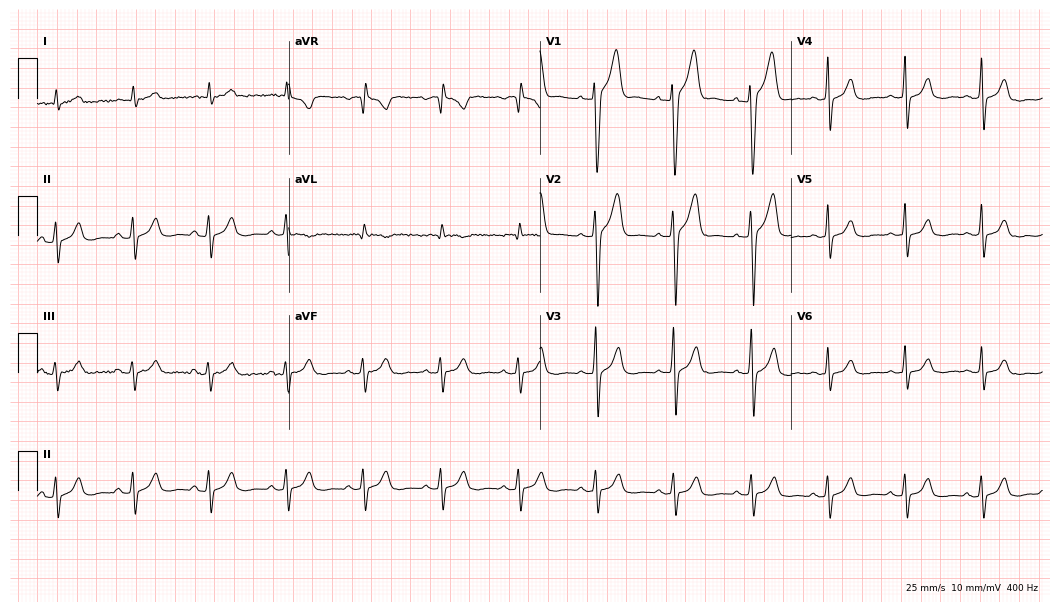
12-lead ECG from a male, 38 years old. Screened for six findings — first-degree AV block, right bundle branch block (RBBB), left bundle branch block (LBBB), sinus bradycardia, atrial fibrillation (AF), sinus tachycardia — none is recorded.